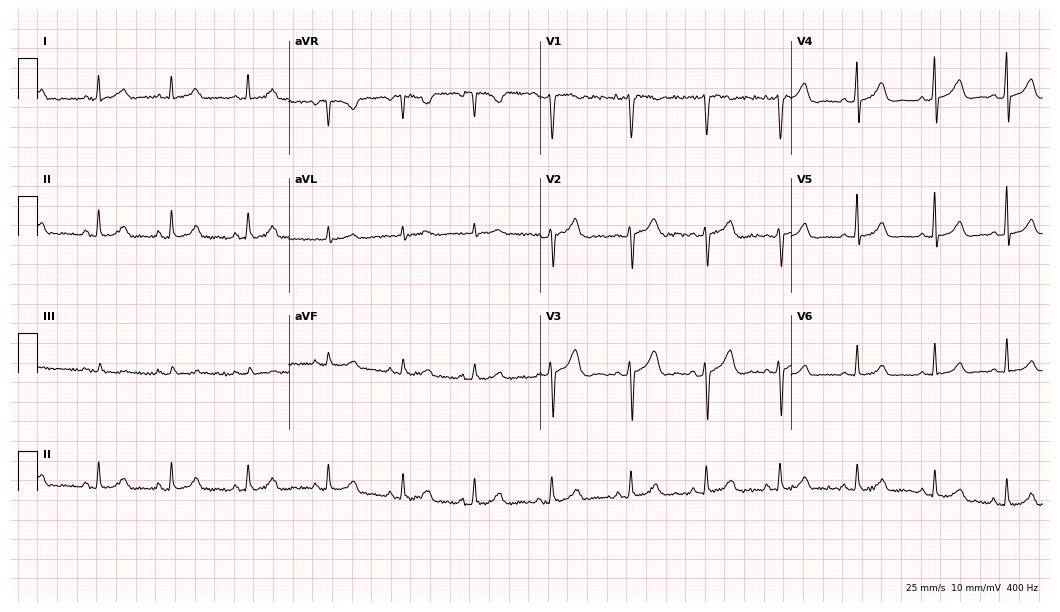
Electrocardiogram, a 40-year-old female patient. Overall reading on record: normal ECG.